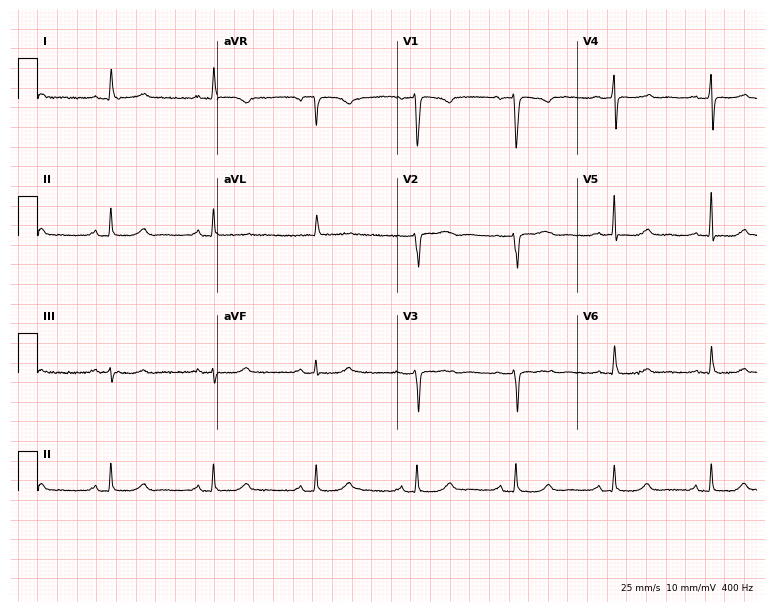
12-lead ECG from a 68-year-old woman. Labelled as a normal ECG.